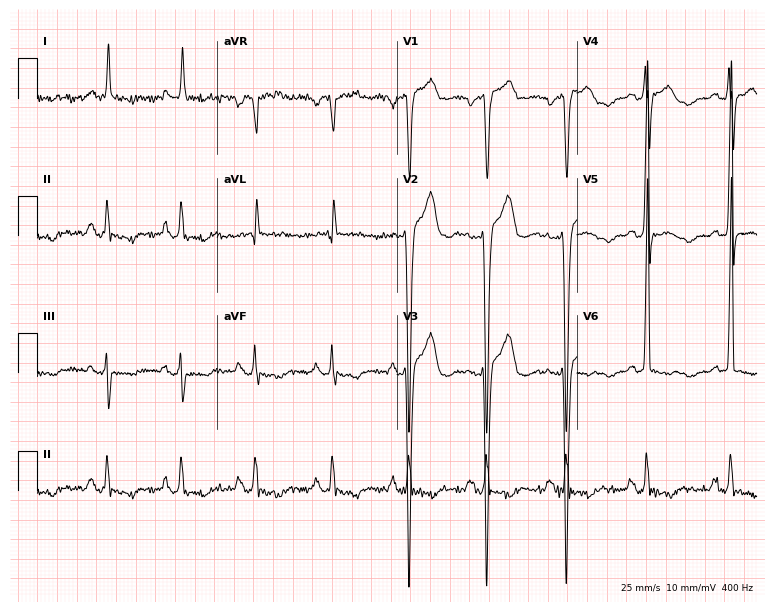
12-lead ECG (7.3-second recording at 400 Hz) from a male patient, 56 years old. Screened for six findings — first-degree AV block, right bundle branch block (RBBB), left bundle branch block (LBBB), sinus bradycardia, atrial fibrillation (AF), sinus tachycardia — none is recorded.